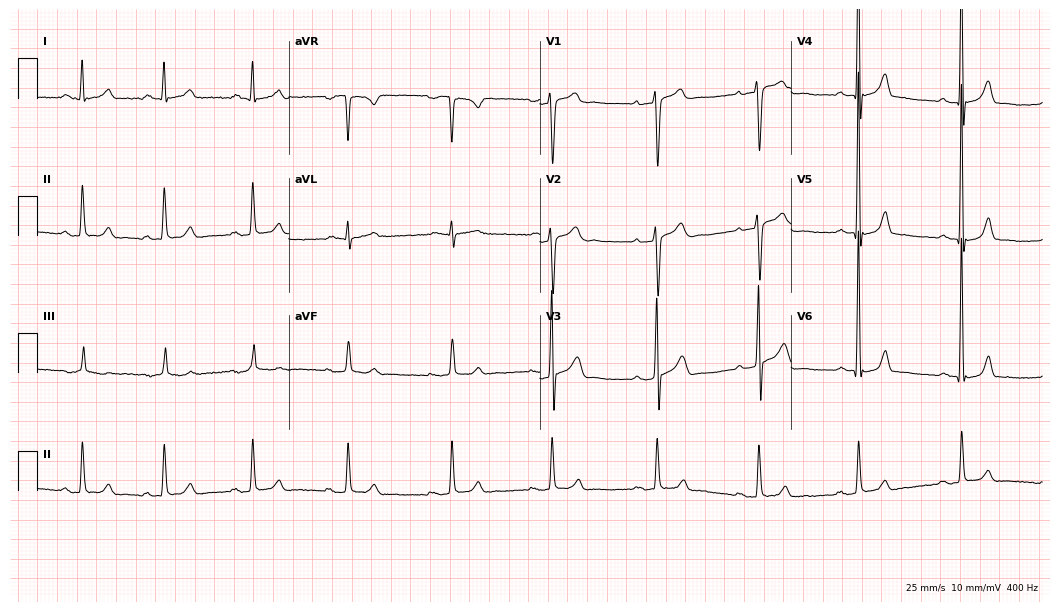
Resting 12-lead electrocardiogram (10.2-second recording at 400 Hz). Patient: a 43-year-old male. Read as a normal ECG.